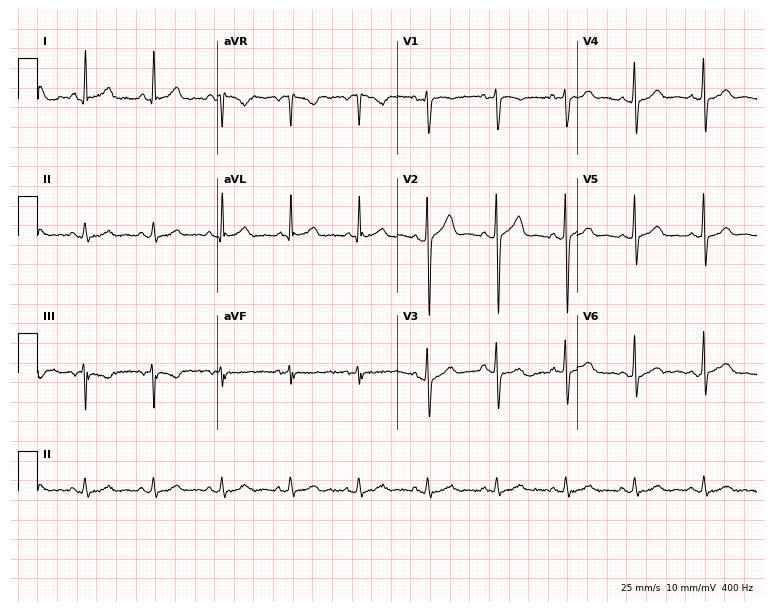
Standard 12-lead ECG recorded from a male patient, 44 years old (7.3-second recording at 400 Hz). None of these six findings is recorded: first-degree AV block, right bundle branch block, left bundle branch block, sinus bradycardia, atrial fibrillation, sinus tachycardia. Only these six findings were labelled.